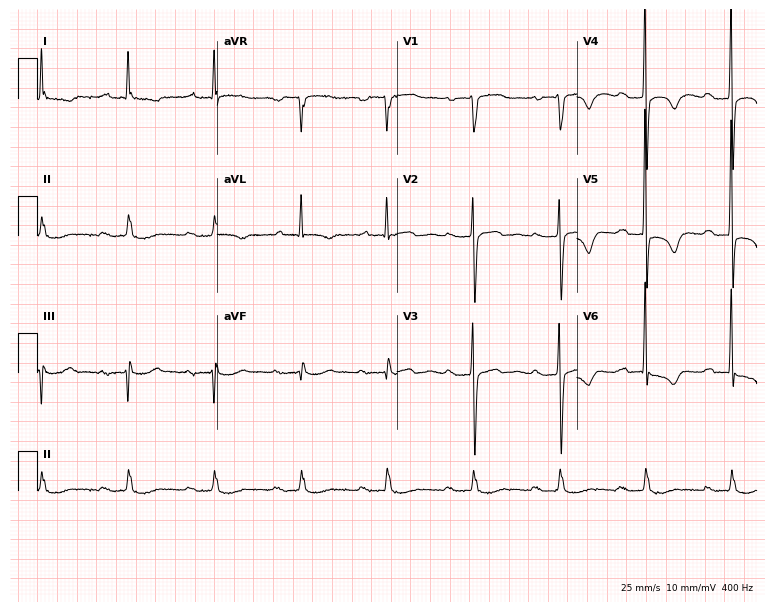
Electrocardiogram, a male, 78 years old. Interpretation includes first-degree AV block.